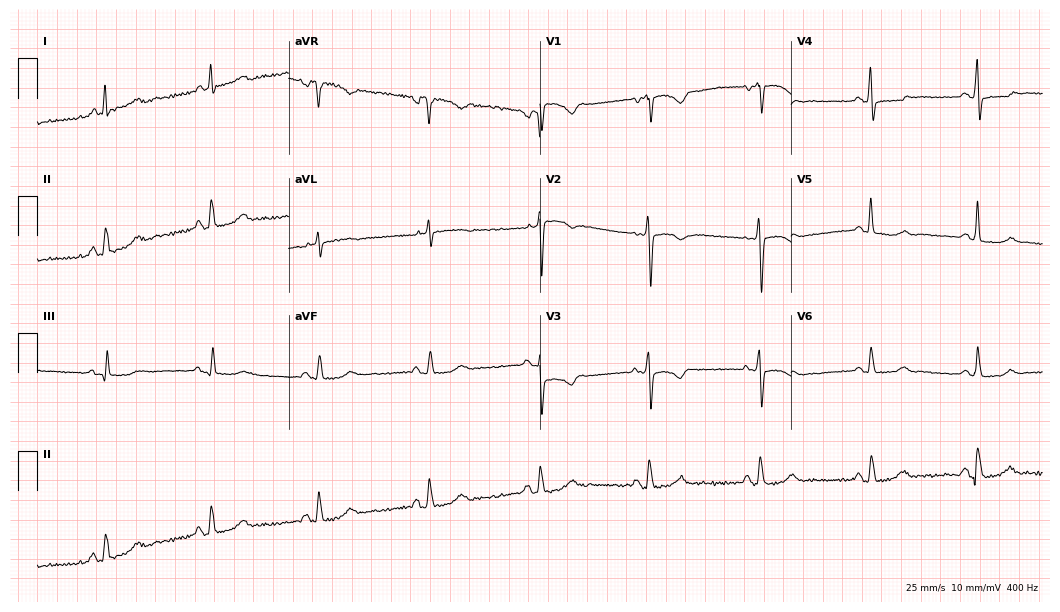
Standard 12-lead ECG recorded from a 60-year-old female patient (10.2-second recording at 400 Hz). None of these six findings is recorded: first-degree AV block, right bundle branch block, left bundle branch block, sinus bradycardia, atrial fibrillation, sinus tachycardia. Findings outside these six are not listed.